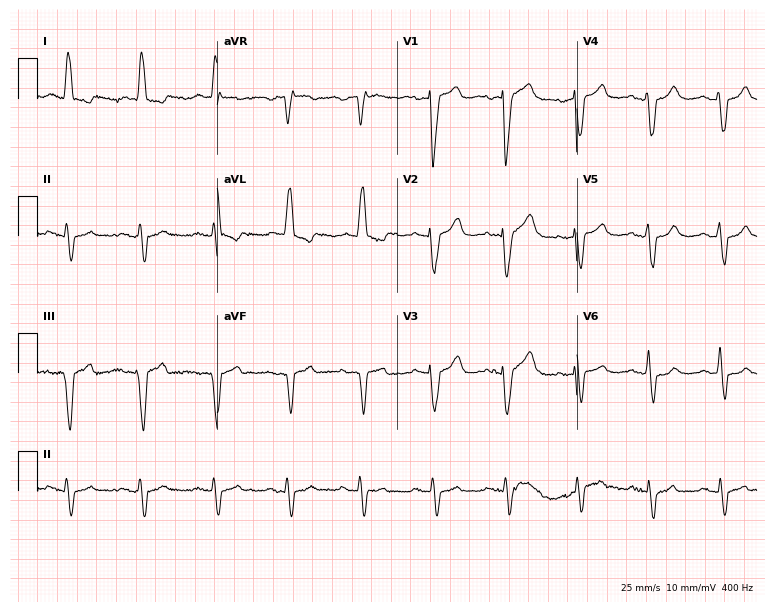
12-lead ECG from a woman, 84 years old. Shows left bundle branch block (LBBB).